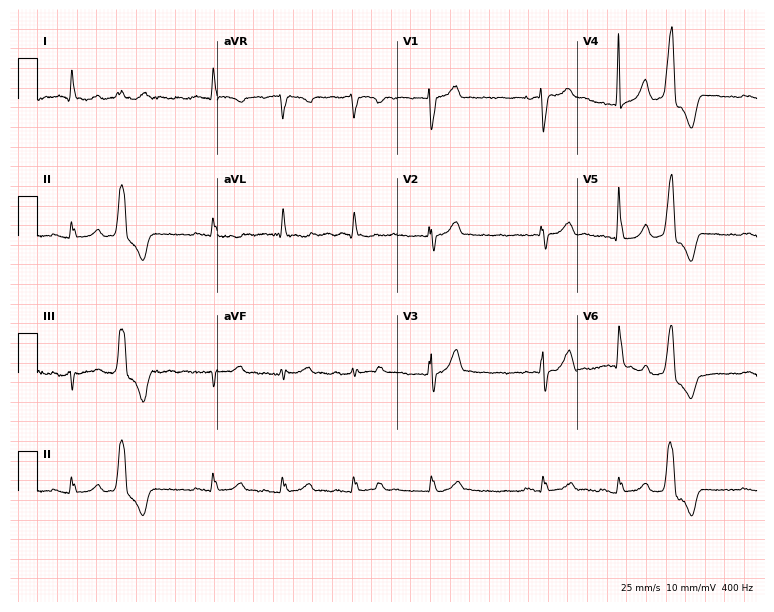
Resting 12-lead electrocardiogram. Patient: an 84-year-old female. None of these six findings is recorded: first-degree AV block, right bundle branch block, left bundle branch block, sinus bradycardia, atrial fibrillation, sinus tachycardia.